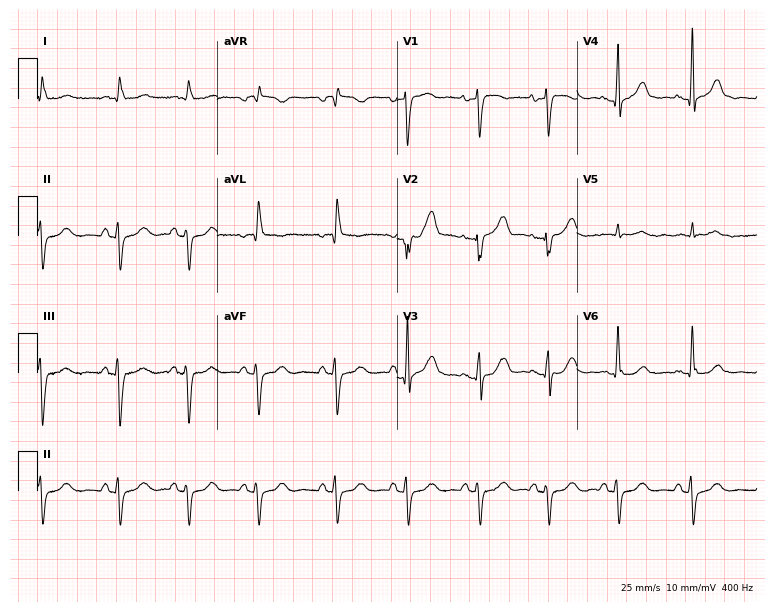
Standard 12-lead ECG recorded from an 81-year-old woman (7.3-second recording at 400 Hz). None of these six findings is recorded: first-degree AV block, right bundle branch block, left bundle branch block, sinus bradycardia, atrial fibrillation, sinus tachycardia. Findings outside these six are not listed.